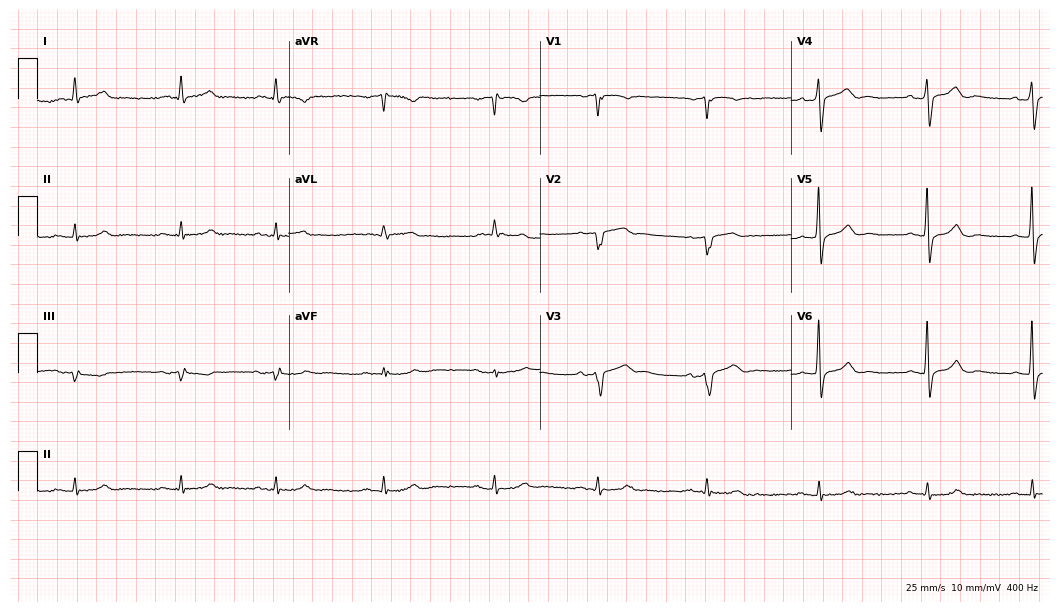
Electrocardiogram, a man, 82 years old. Of the six screened findings (first-degree AV block, right bundle branch block (RBBB), left bundle branch block (LBBB), sinus bradycardia, atrial fibrillation (AF), sinus tachycardia), none is recorded.